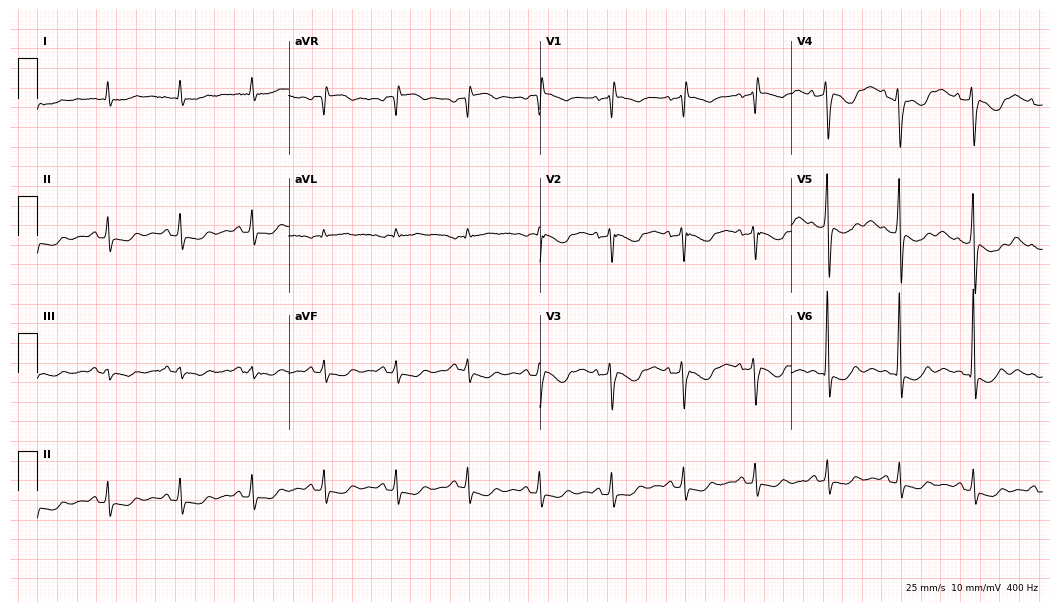
12-lead ECG (10.2-second recording at 400 Hz) from a male, 59 years old. Screened for six findings — first-degree AV block, right bundle branch block, left bundle branch block, sinus bradycardia, atrial fibrillation, sinus tachycardia — none is recorded.